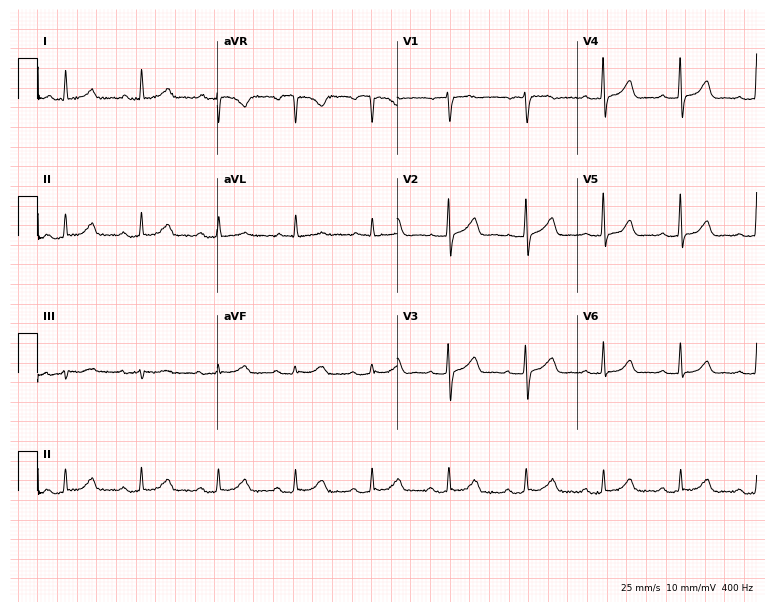
Resting 12-lead electrocardiogram. Patient: a female, 79 years old. Read as a normal ECG.